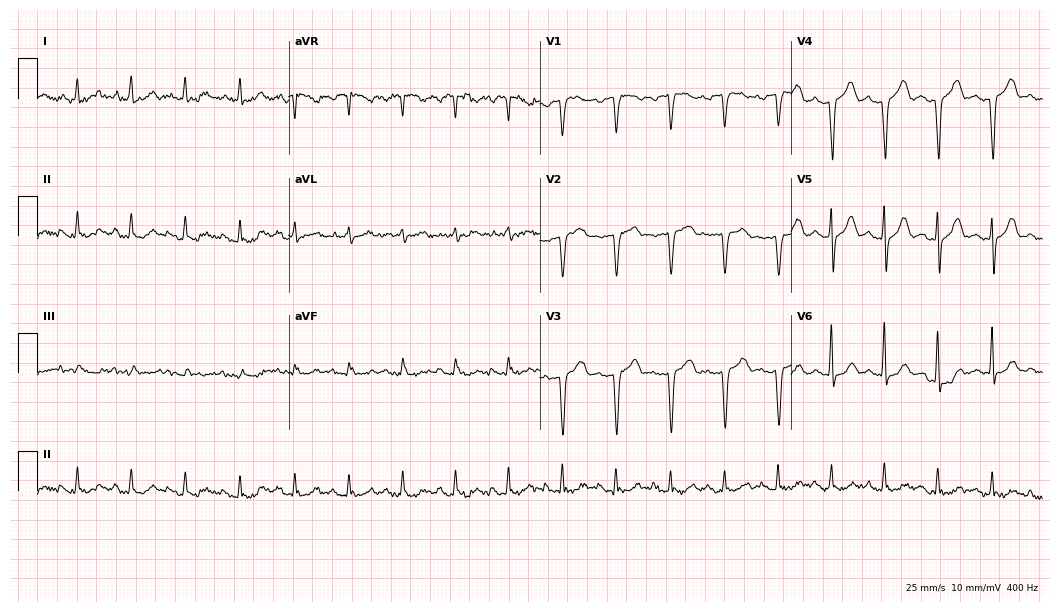
12-lead ECG from a female, 67 years old. No first-degree AV block, right bundle branch block, left bundle branch block, sinus bradycardia, atrial fibrillation or sinus tachycardia recorded for this tracing.